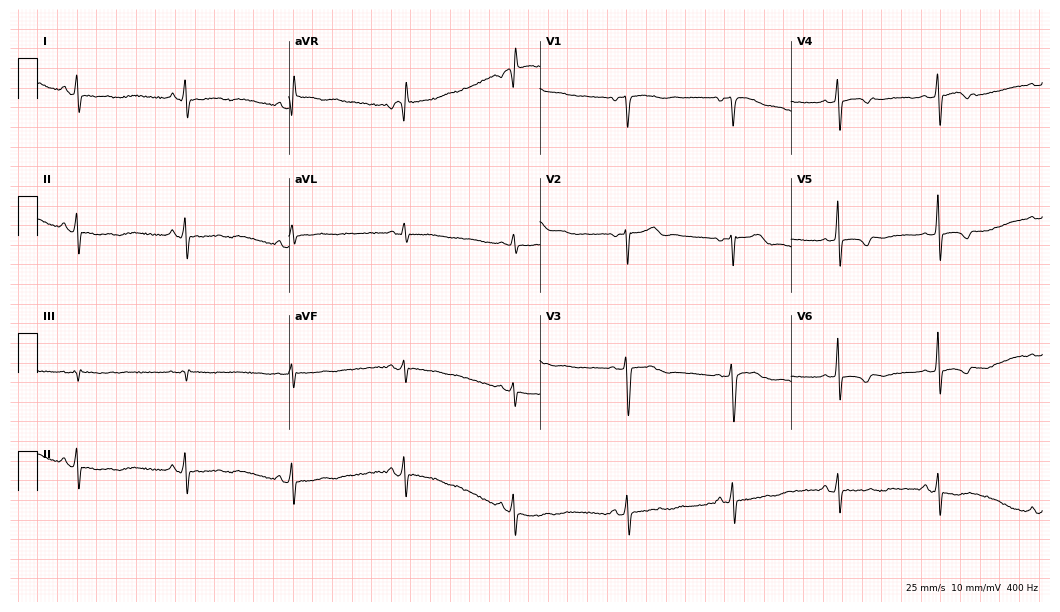
Electrocardiogram, a 55-year-old woman. Of the six screened findings (first-degree AV block, right bundle branch block (RBBB), left bundle branch block (LBBB), sinus bradycardia, atrial fibrillation (AF), sinus tachycardia), none is recorded.